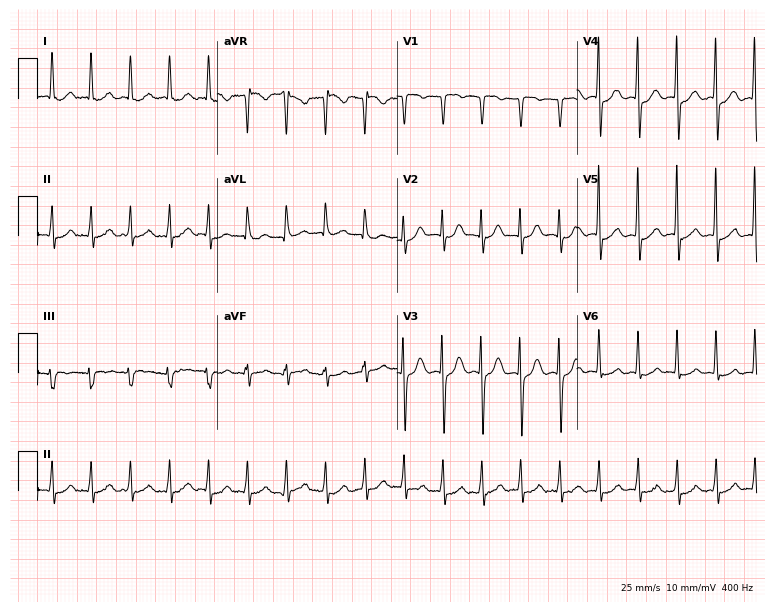
Resting 12-lead electrocardiogram (7.3-second recording at 400 Hz). Patient: a female, 53 years old. The tracing shows sinus tachycardia (a sinus rate of 100 beats per minute or more).